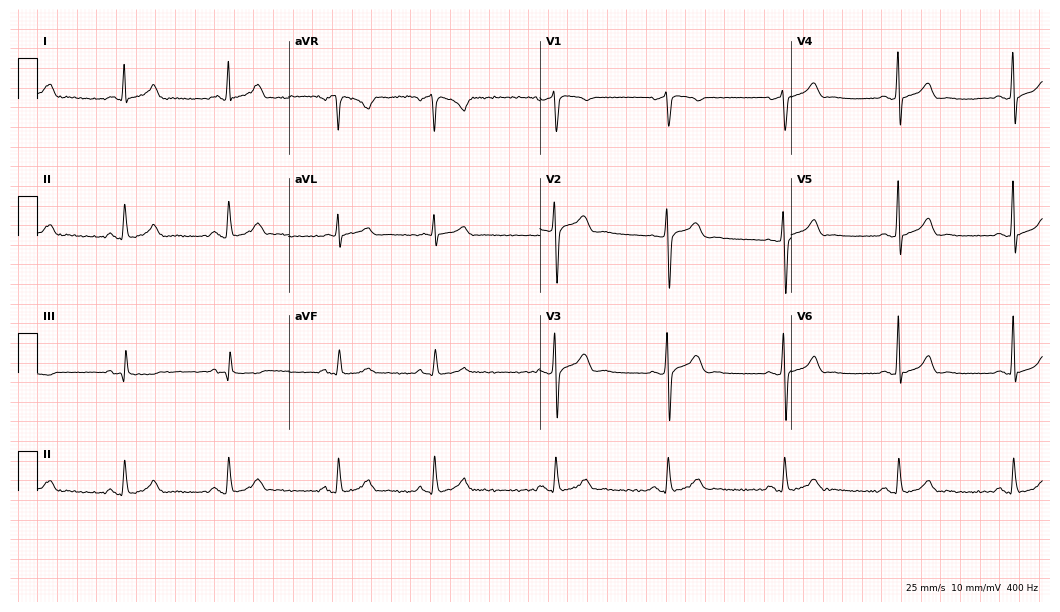
12-lead ECG from a 29-year-old man (10.2-second recording at 400 Hz). Recorded interpretation: within normal limits.